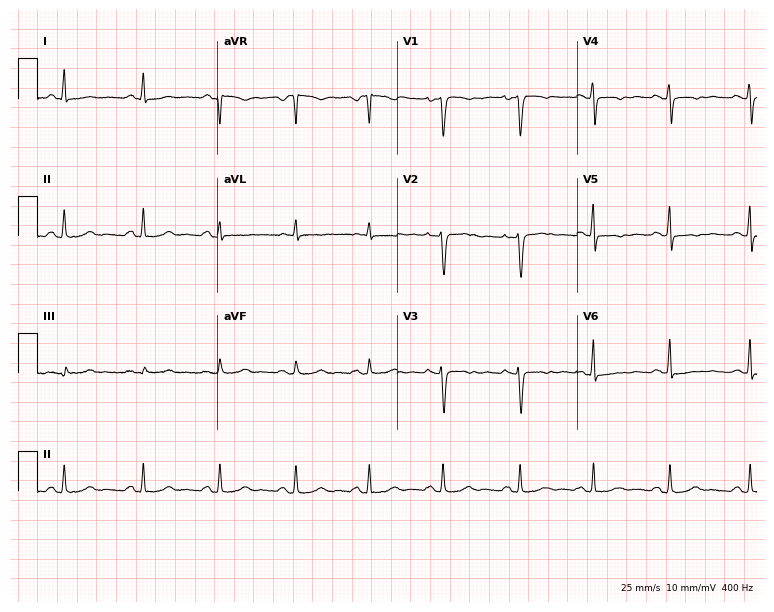
ECG (7.3-second recording at 400 Hz) — a 28-year-old woman. Screened for six findings — first-degree AV block, right bundle branch block, left bundle branch block, sinus bradycardia, atrial fibrillation, sinus tachycardia — none is recorded.